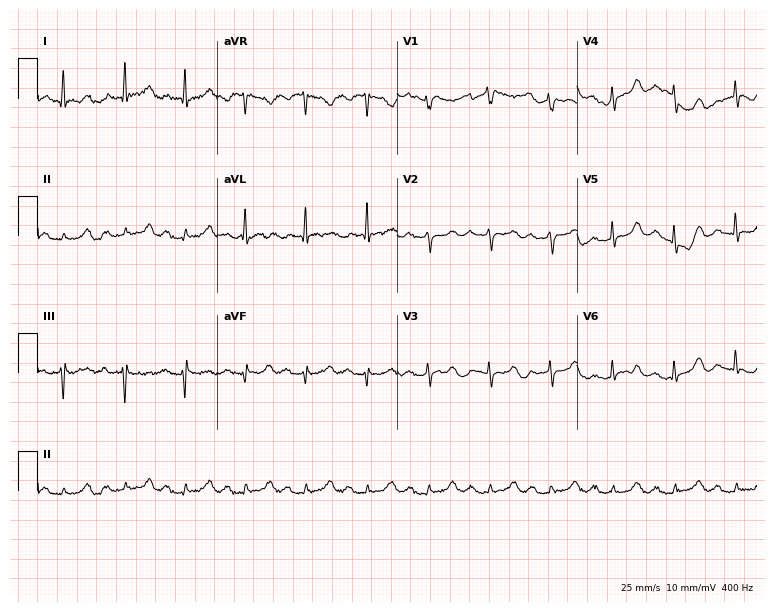
12-lead ECG from a female patient, 74 years old. Recorded interpretation: within normal limits.